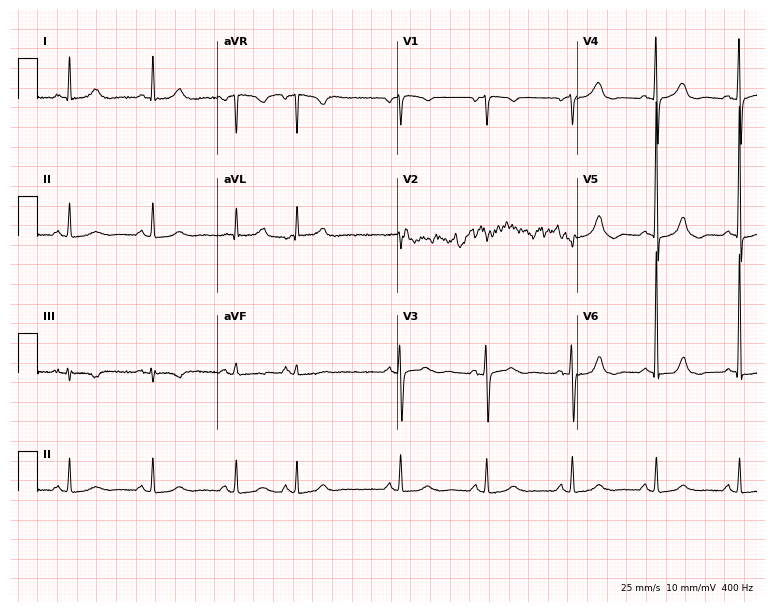
12-lead ECG (7.3-second recording at 400 Hz) from a 71-year-old woman. Labelled as a normal ECG.